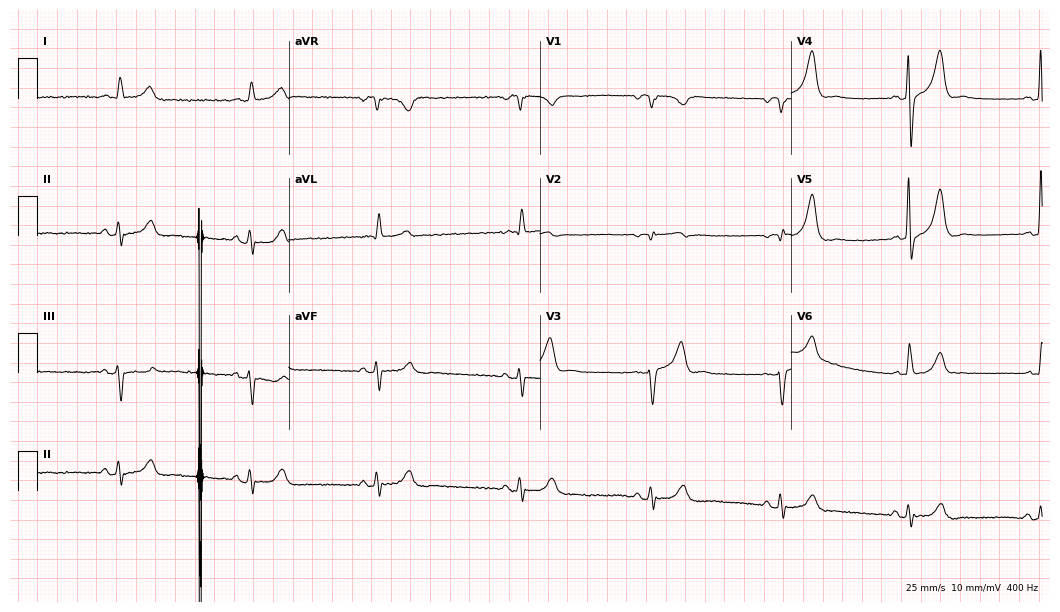
ECG — a 68-year-old male. Screened for six findings — first-degree AV block, right bundle branch block, left bundle branch block, sinus bradycardia, atrial fibrillation, sinus tachycardia — none is recorded.